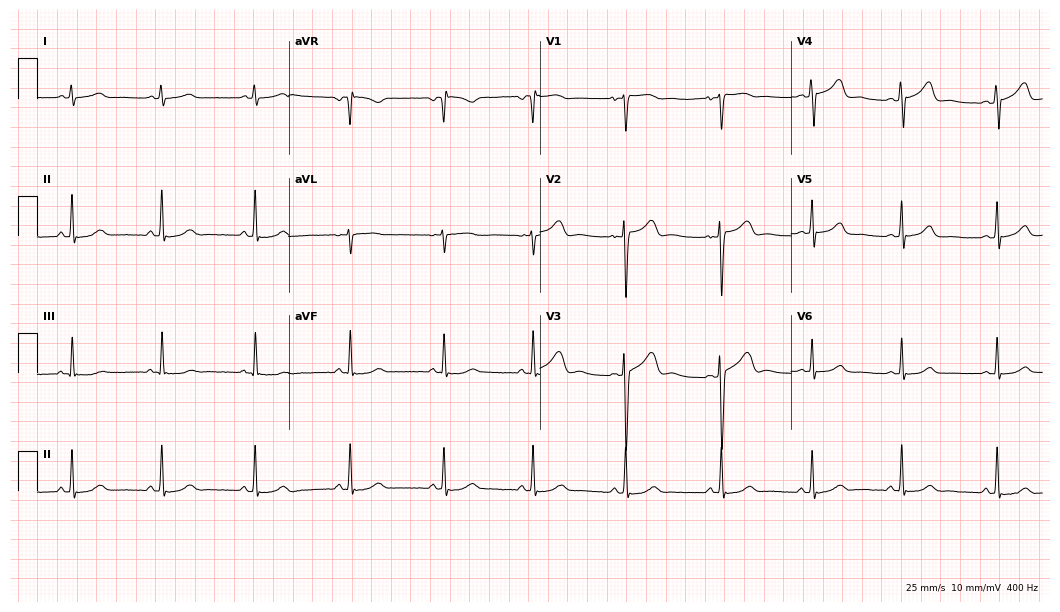
Electrocardiogram, a female, 29 years old. Overall reading on record: normal ECG.